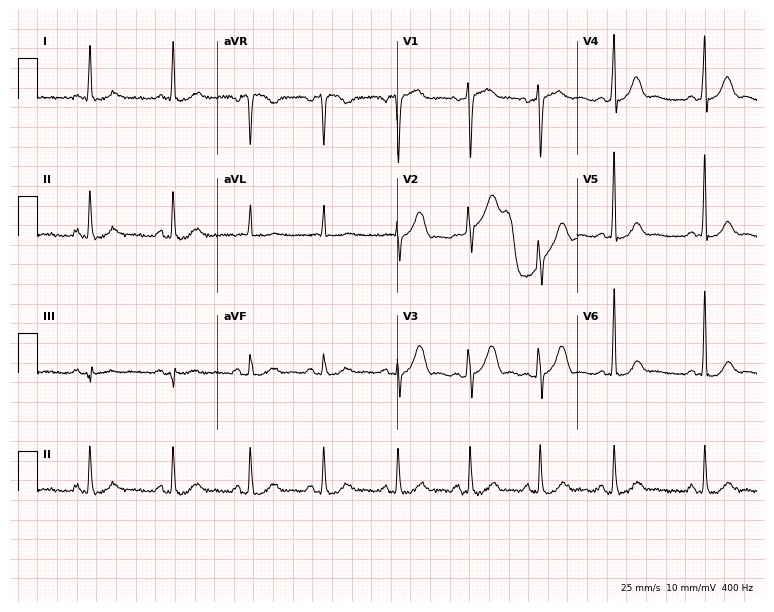
Electrocardiogram, a female, 58 years old. Of the six screened findings (first-degree AV block, right bundle branch block (RBBB), left bundle branch block (LBBB), sinus bradycardia, atrial fibrillation (AF), sinus tachycardia), none is recorded.